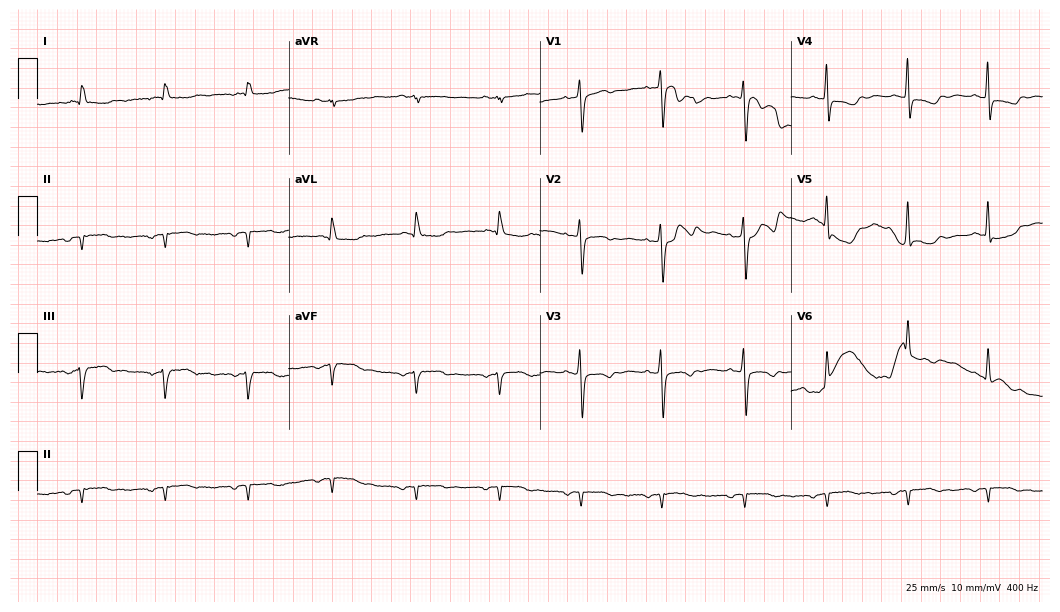
12-lead ECG from an 85-year-old woman (10.2-second recording at 400 Hz). No first-degree AV block, right bundle branch block, left bundle branch block, sinus bradycardia, atrial fibrillation or sinus tachycardia recorded for this tracing.